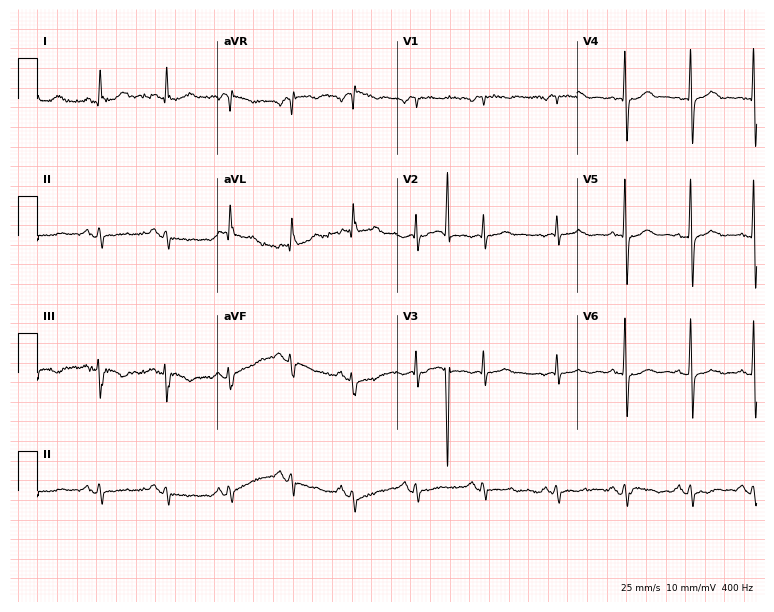
12-lead ECG from a female patient, 79 years old (7.3-second recording at 400 Hz). No first-degree AV block, right bundle branch block, left bundle branch block, sinus bradycardia, atrial fibrillation or sinus tachycardia recorded for this tracing.